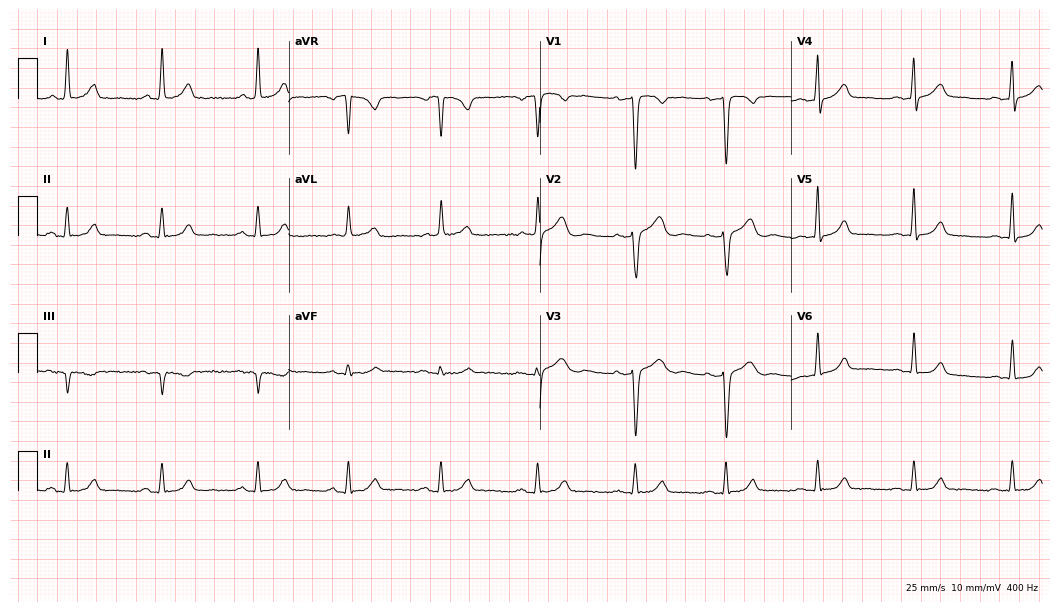
12-lead ECG (10.2-second recording at 400 Hz) from a 53-year-old female. Labelled as a normal ECG.